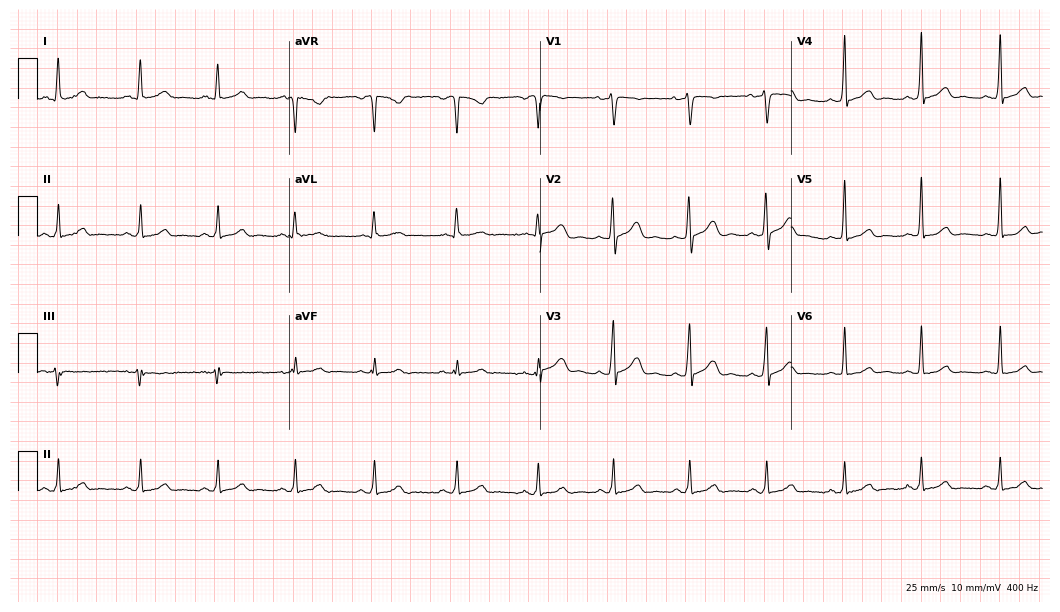
ECG — a 32-year-old woman. Labelled as a normal ECG.